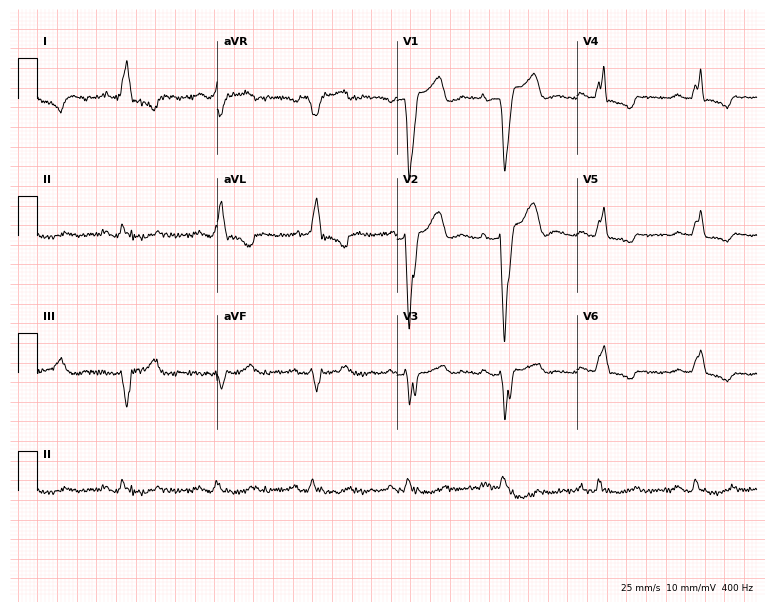
12-lead ECG (7.3-second recording at 400 Hz) from a 79-year-old male patient. Findings include left bundle branch block.